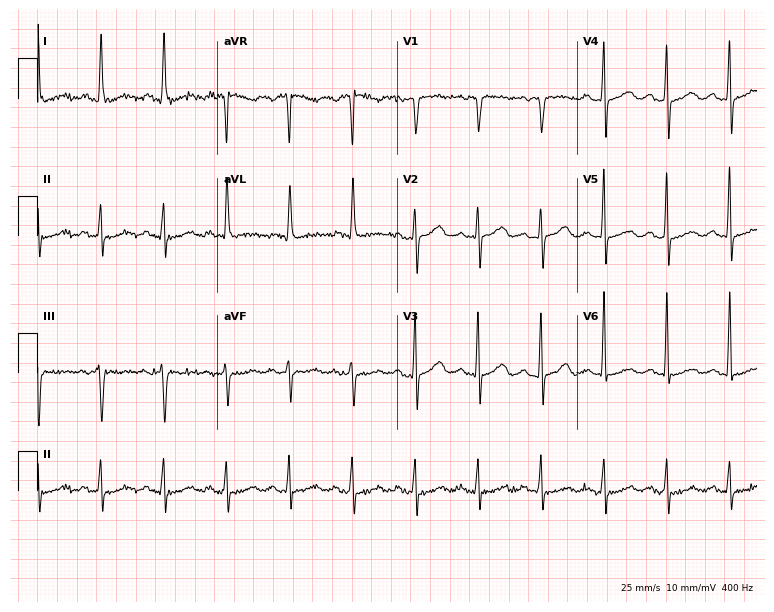
12-lead ECG from a 72-year-old female. Labelled as a normal ECG.